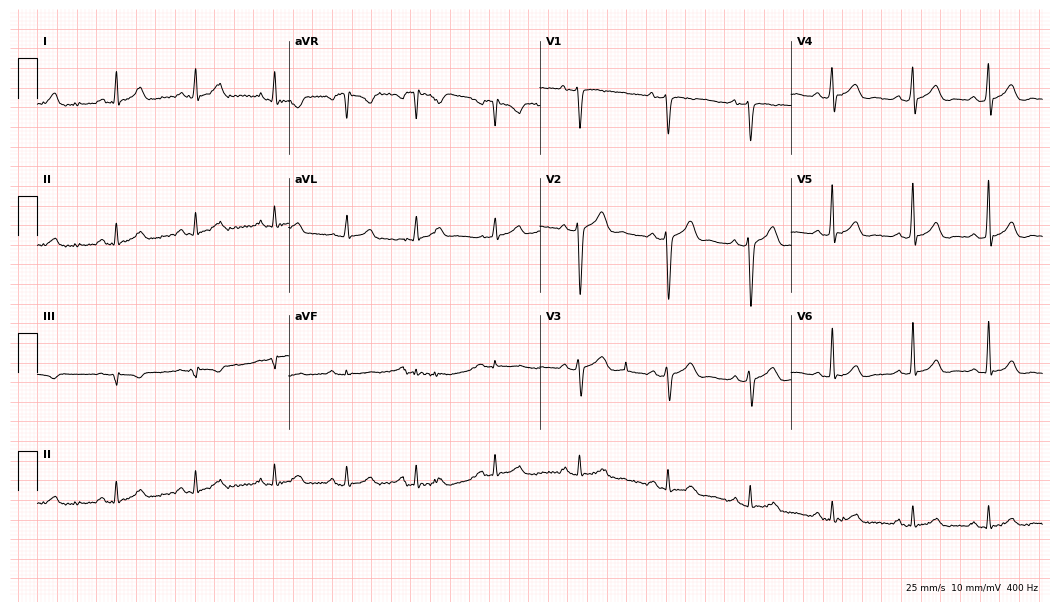
ECG (10.2-second recording at 400 Hz) — a 32-year-old man. Screened for six findings — first-degree AV block, right bundle branch block, left bundle branch block, sinus bradycardia, atrial fibrillation, sinus tachycardia — none is recorded. Findings outside these six are not listed.